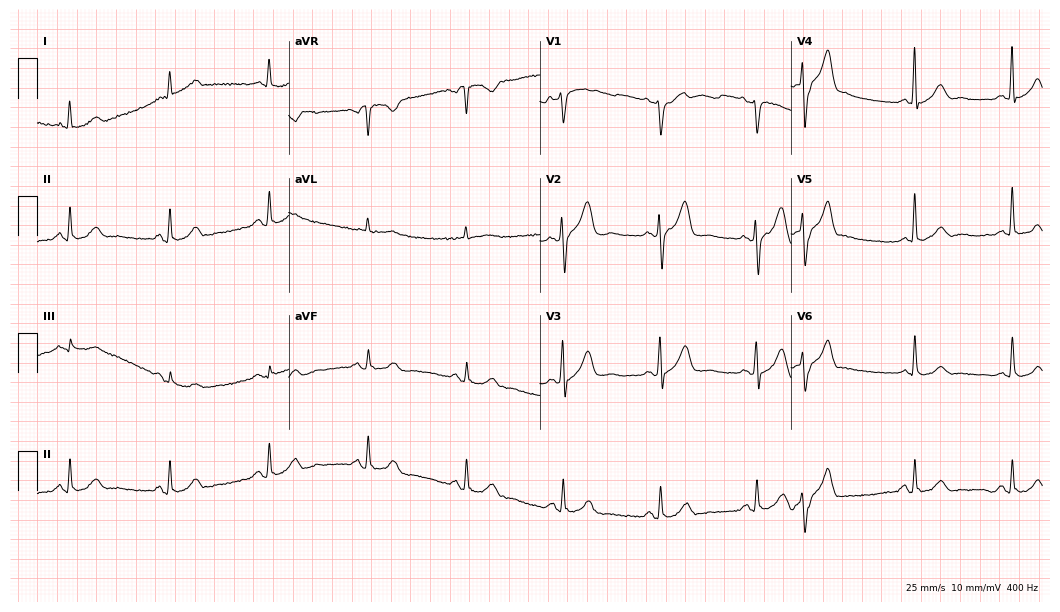
Electrocardiogram, a male patient, 78 years old. Of the six screened findings (first-degree AV block, right bundle branch block, left bundle branch block, sinus bradycardia, atrial fibrillation, sinus tachycardia), none is recorded. Other findings, if any, are not listed.